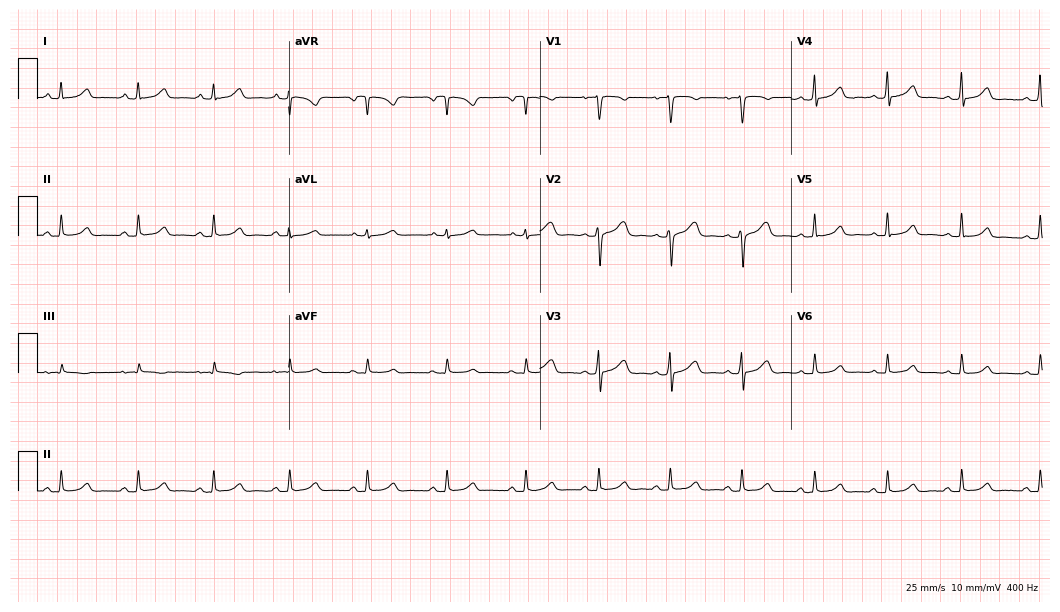
12-lead ECG from a 21-year-old female patient. Recorded interpretation: within normal limits.